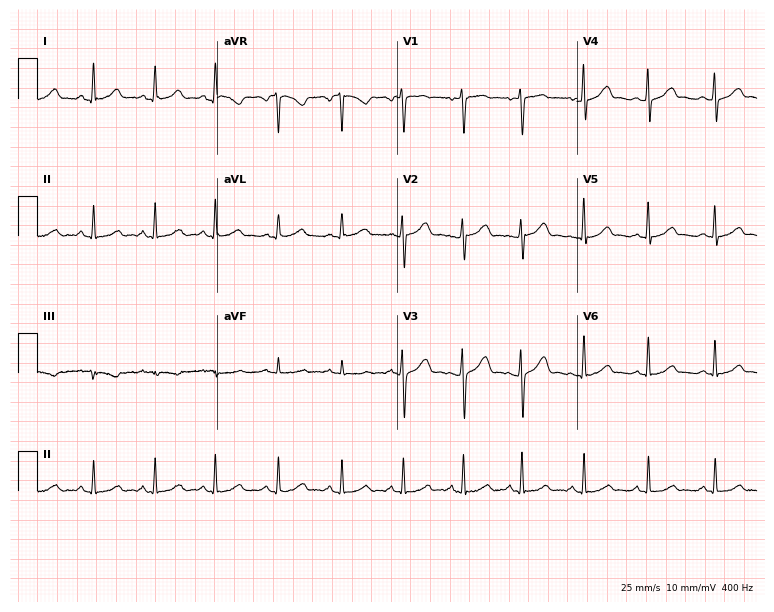
Electrocardiogram, a female, 39 years old. Overall reading on record: normal ECG.